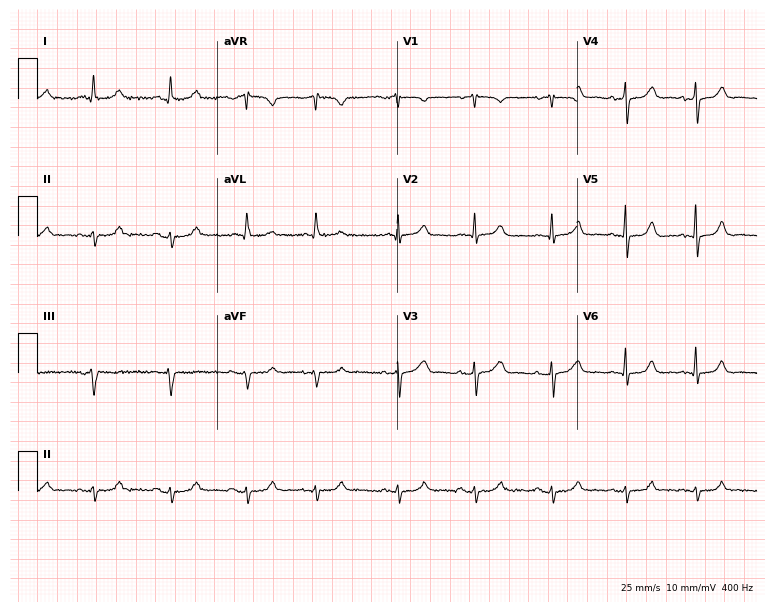
Resting 12-lead electrocardiogram. Patient: a 79-year-old female. None of these six findings is recorded: first-degree AV block, right bundle branch block, left bundle branch block, sinus bradycardia, atrial fibrillation, sinus tachycardia. Findings outside these six are not listed.